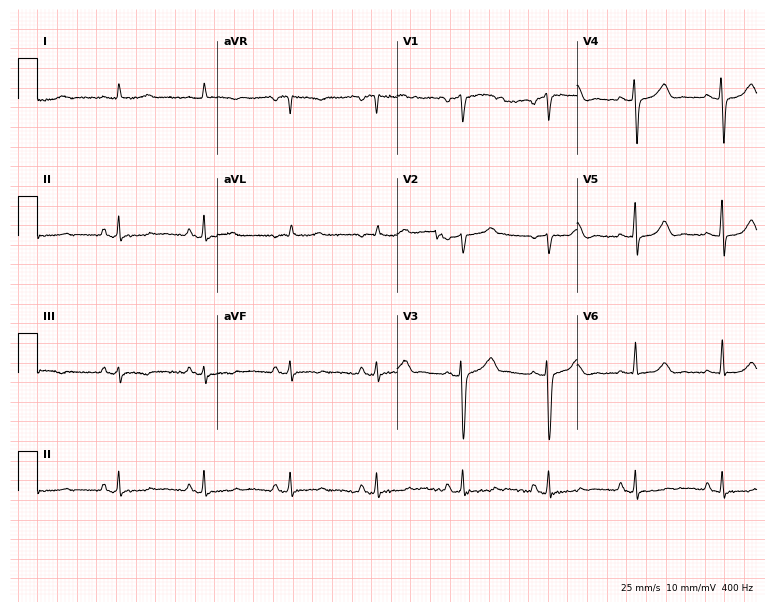
Electrocardiogram, a male, 71 years old. Overall reading on record: normal ECG.